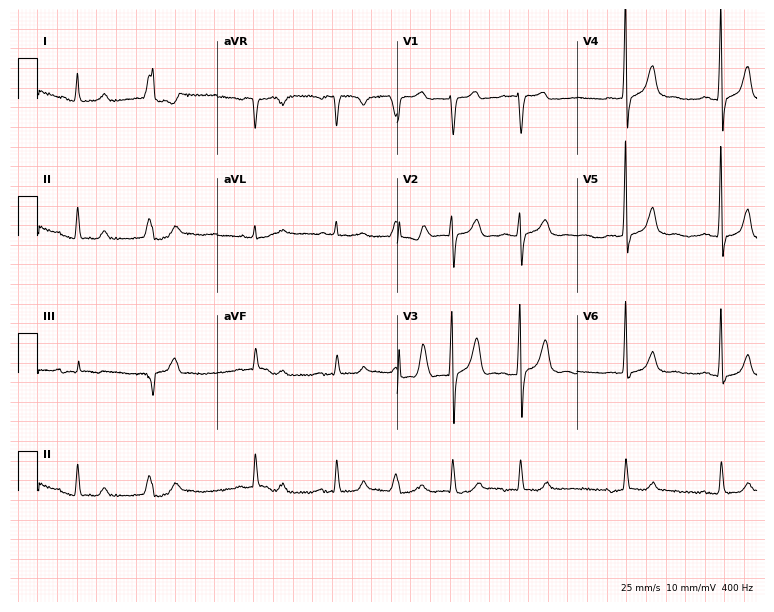
ECG (7.3-second recording at 400 Hz) — an 80-year-old man. Labelled as a normal ECG.